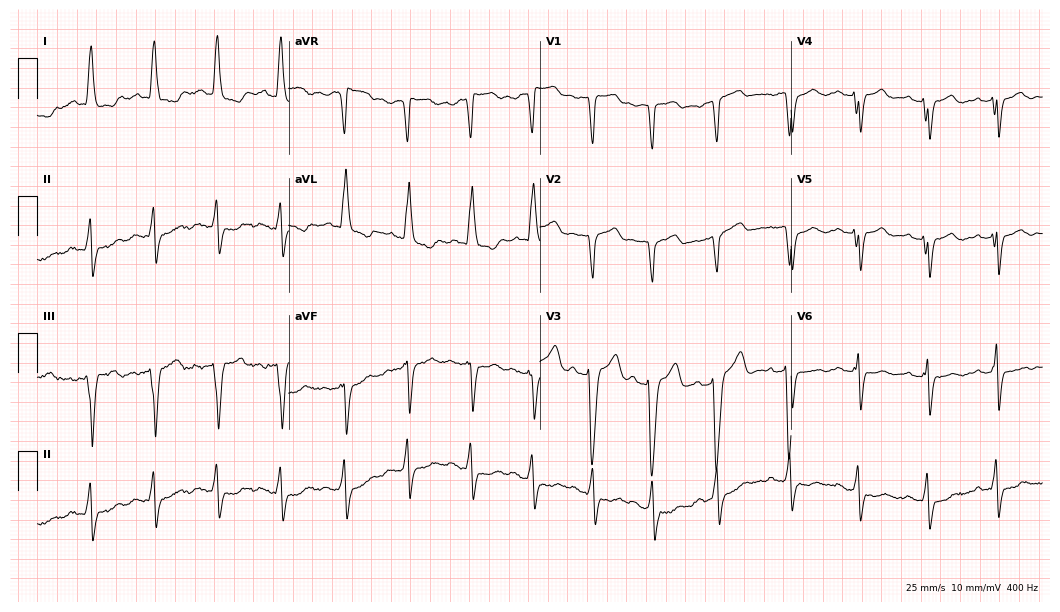
Resting 12-lead electrocardiogram. Patient: a female, 81 years old. None of these six findings is recorded: first-degree AV block, right bundle branch block, left bundle branch block, sinus bradycardia, atrial fibrillation, sinus tachycardia.